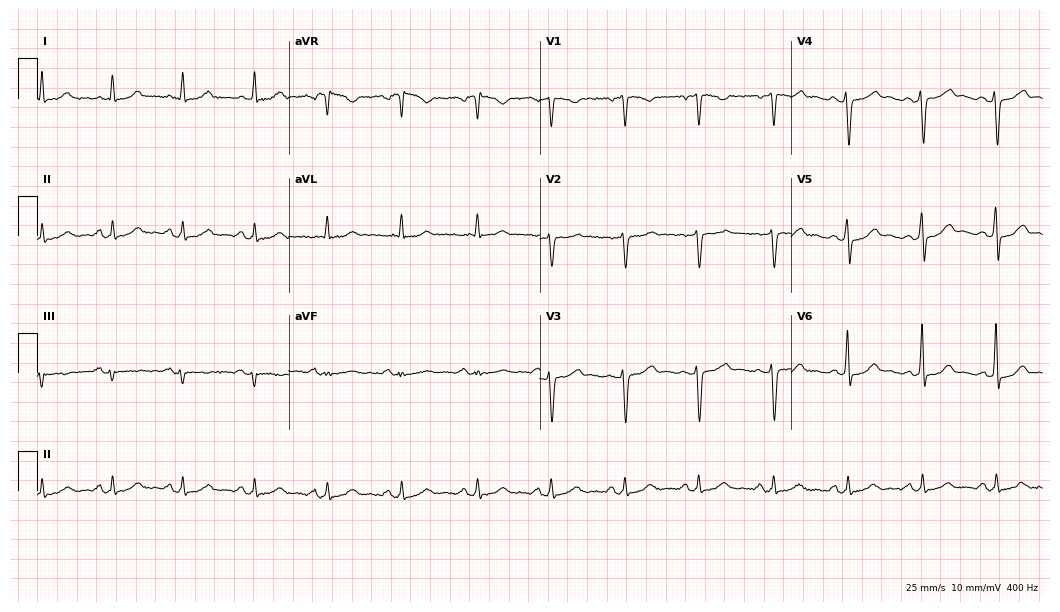
ECG (10.2-second recording at 400 Hz) — a 49-year-old female patient. Screened for six findings — first-degree AV block, right bundle branch block, left bundle branch block, sinus bradycardia, atrial fibrillation, sinus tachycardia — none is recorded. Only these six findings were labelled.